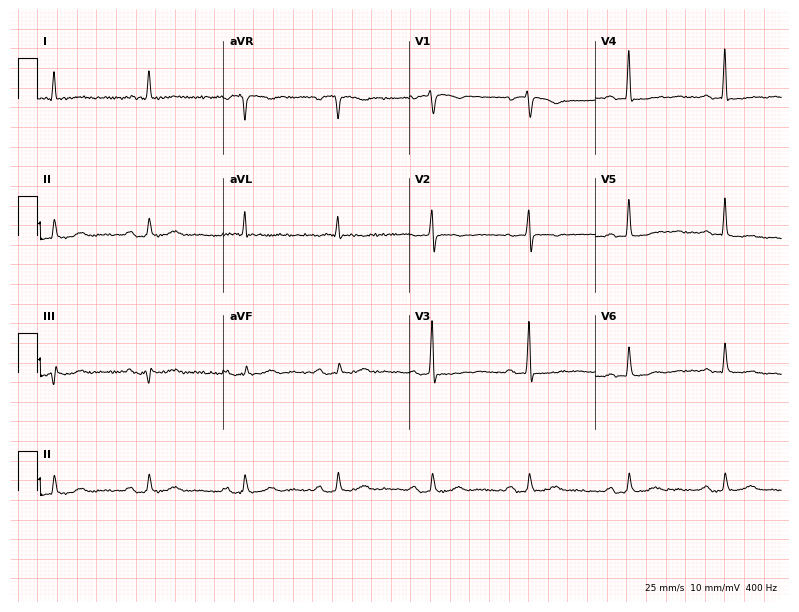
Electrocardiogram, an 81-year-old female. Of the six screened findings (first-degree AV block, right bundle branch block (RBBB), left bundle branch block (LBBB), sinus bradycardia, atrial fibrillation (AF), sinus tachycardia), none is recorded.